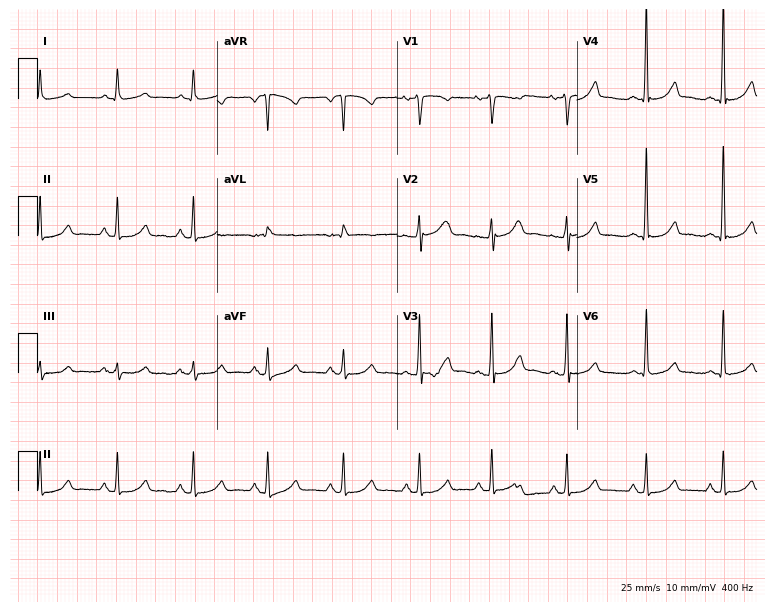
12-lead ECG from a male patient, 49 years old. No first-degree AV block, right bundle branch block, left bundle branch block, sinus bradycardia, atrial fibrillation or sinus tachycardia recorded for this tracing.